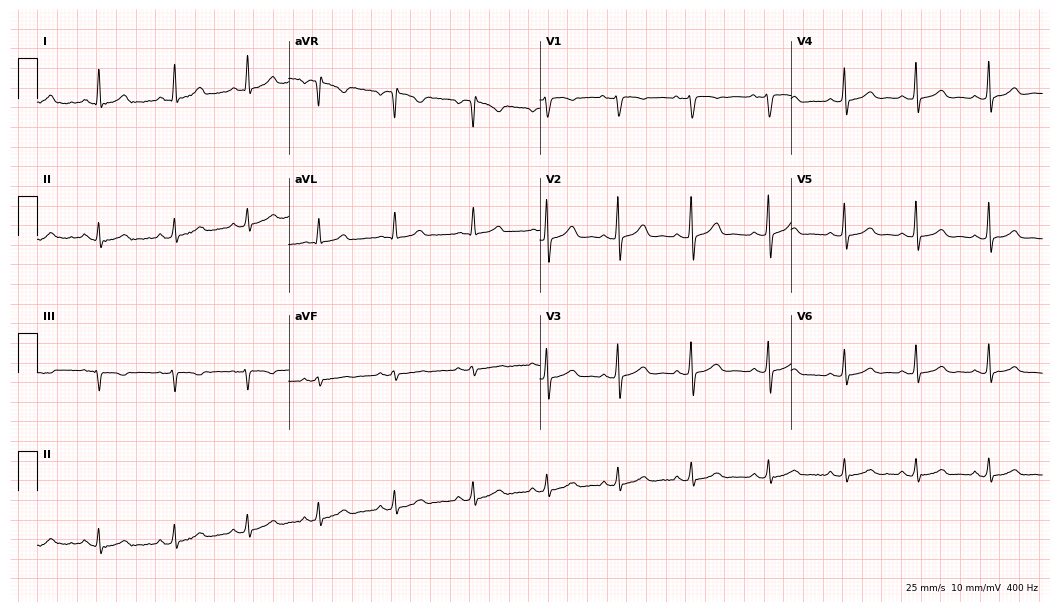
12-lead ECG (10.2-second recording at 400 Hz) from a female, 40 years old. Labelled as a normal ECG.